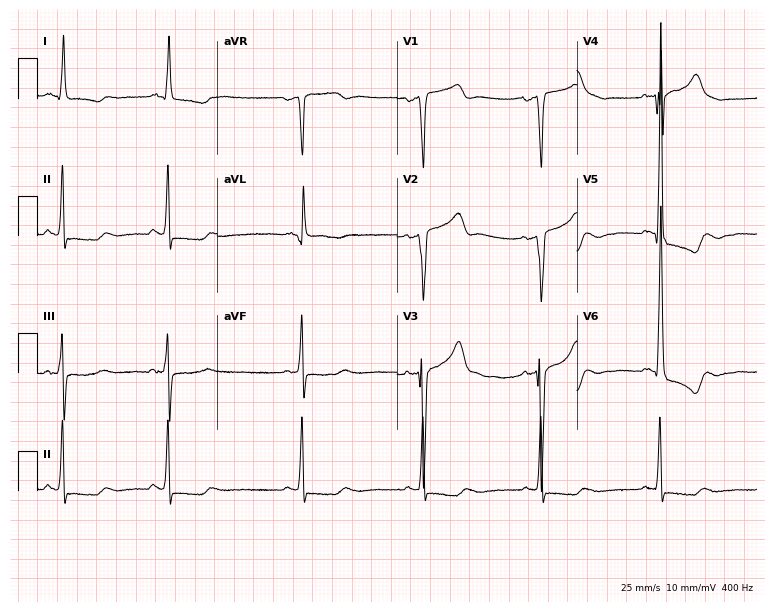
12-lead ECG from a man, 81 years old (7.3-second recording at 400 Hz). No first-degree AV block, right bundle branch block (RBBB), left bundle branch block (LBBB), sinus bradycardia, atrial fibrillation (AF) or sinus tachycardia recorded for this tracing.